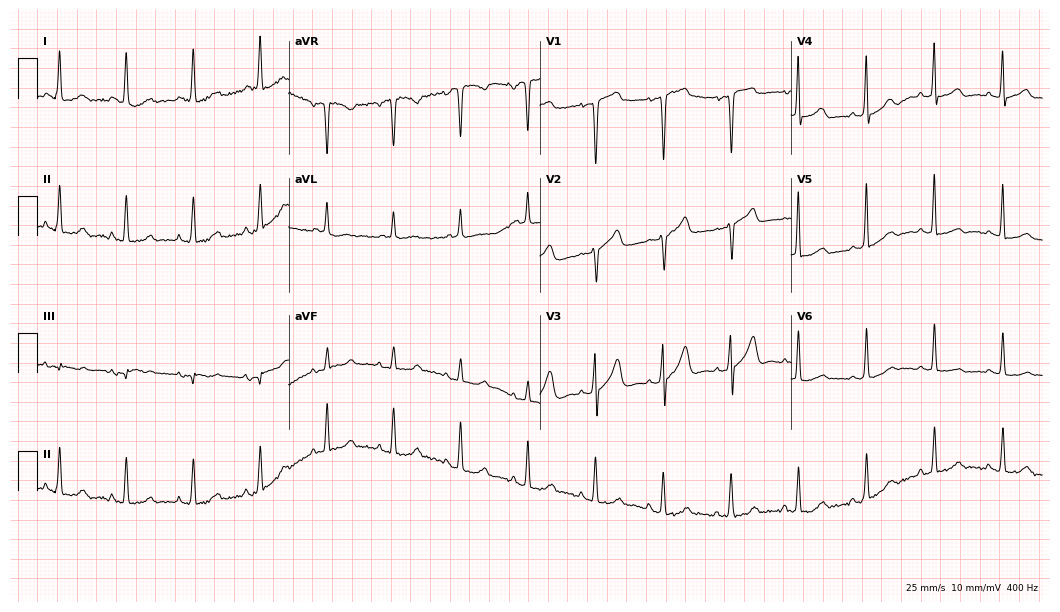
Standard 12-lead ECG recorded from a 79-year-old female patient (10.2-second recording at 400 Hz). None of these six findings is recorded: first-degree AV block, right bundle branch block, left bundle branch block, sinus bradycardia, atrial fibrillation, sinus tachycardia. Other findings, if any, are not listed.